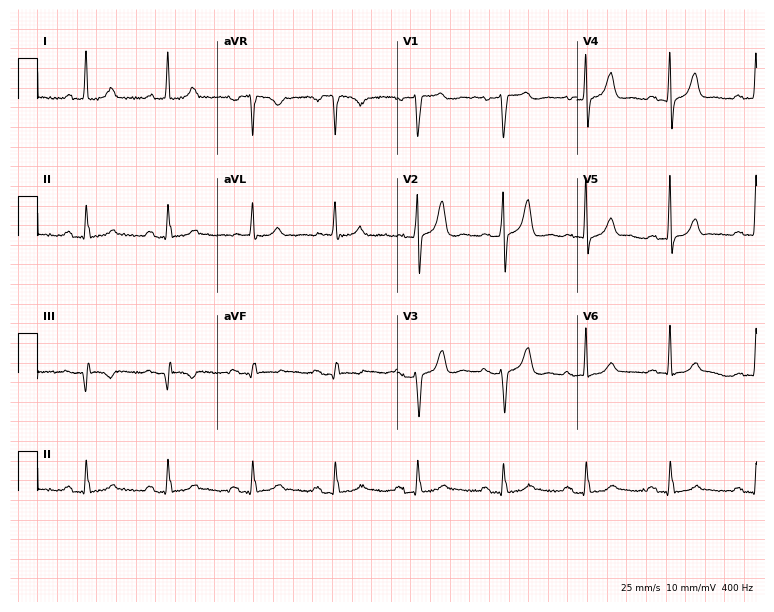
Resting 12-lead electrocardiogram (7.3-second recording at 400 Hz). Patient: a woman, 82 years old. Read as a normal ECG.